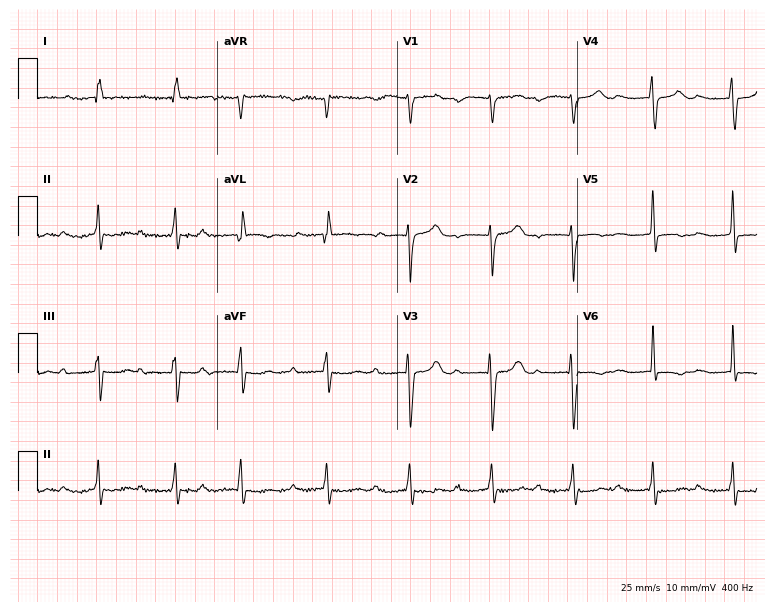
12-lead ECG from a woman, 84 years old. No first-degree AV block, right bundle branch block (RBBB), left bundle branch block (LBBB), sinus bradycardia, atrial fibrillation (AF) or sinus tachycardia recorded for this tracing.